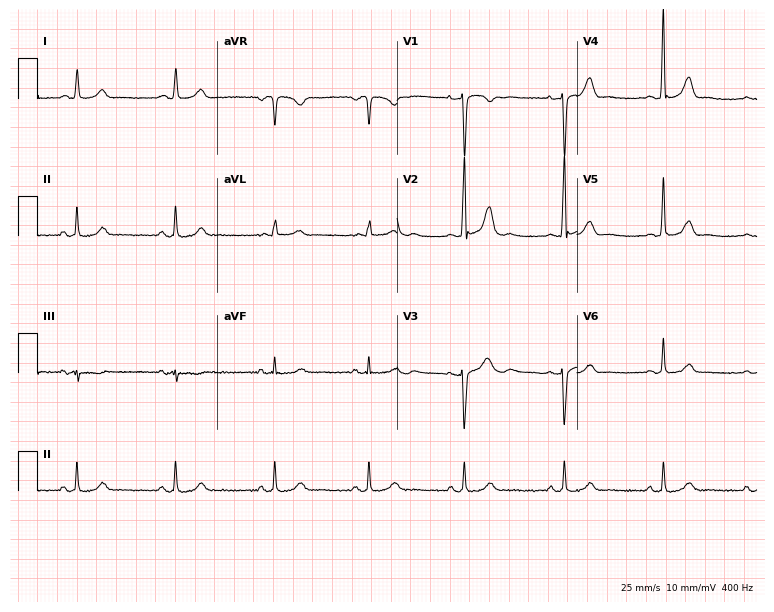
Electrocardiogram, a 38-year-old female. Overall reading on record: normal ECG.